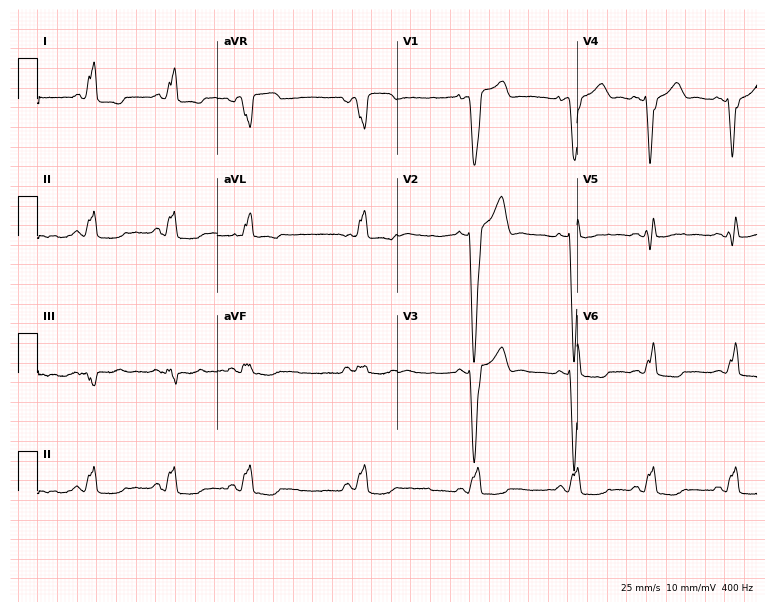
12-lead ECG from a 29-year-old woman. Findings include left bundle branch block.